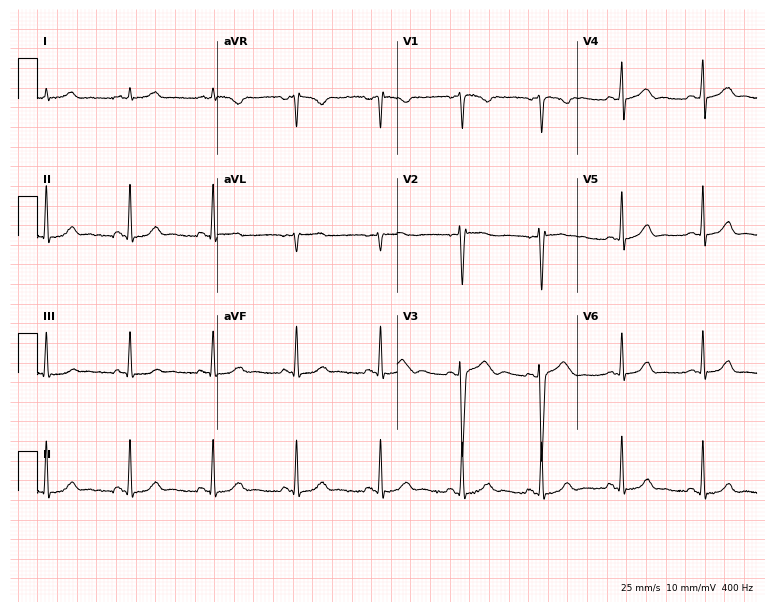
12-lead ECG from a 24-year-old female patient. Recorded interpretation: within normal limits.